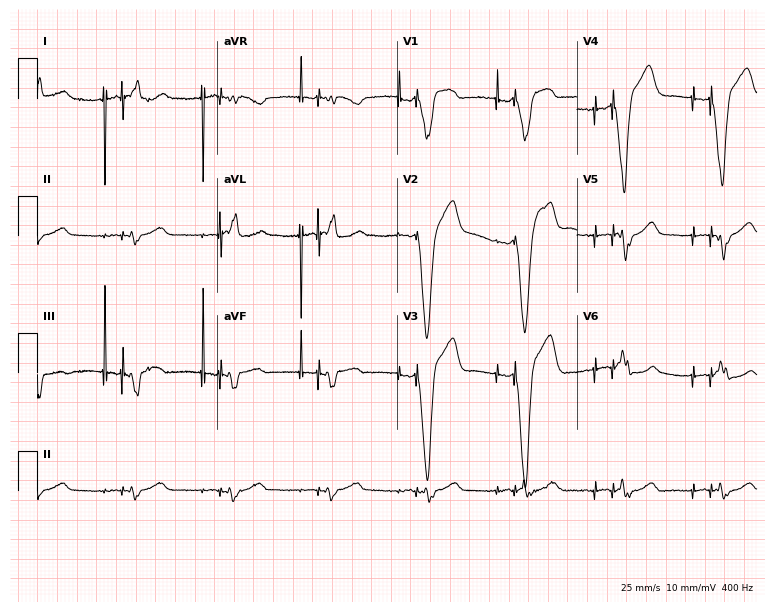
12-lead ECG from a male patient, 80 years old. Screened for six findings — first-degree AV block, right bundle branch block, left bundle branch block, sinus bradycardia, atrial fibrillation, sinus tachycardia — none is recorded. Findings outside these six are not listed.